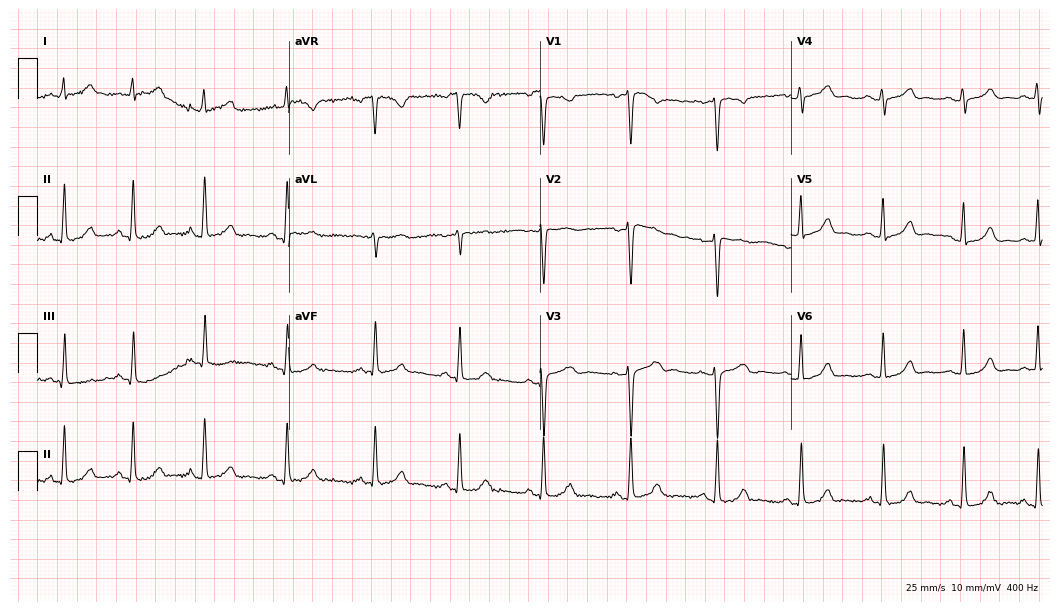
Electrocardiogram (10.2-second recording at 400 Hz), a female patient, 26 years old. Overall reading on record: normal ECG.